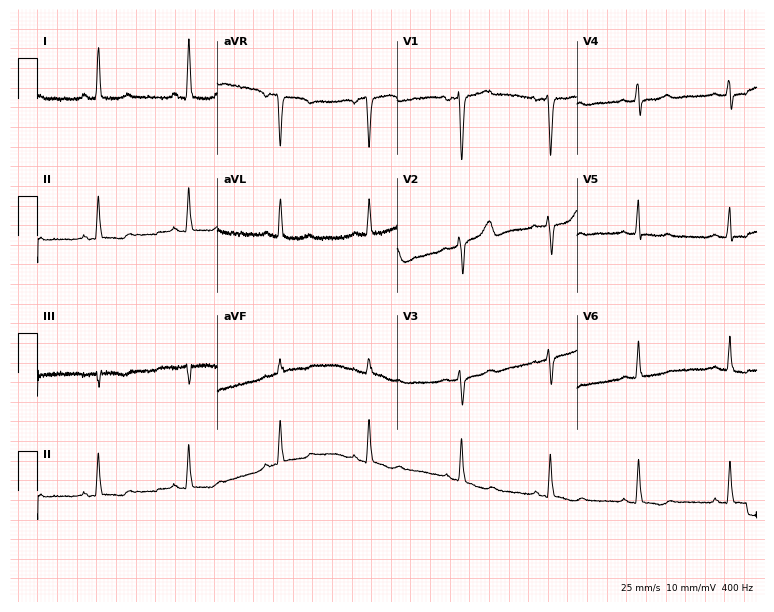
Electrocardiogram, a 49-year-old female. Of the six screened findings (first-degree AV block, right bundle branch block (RBBB), left bundle branch block (LBBB), sinus bradycardia, atrial fibrillation (AF), sinus tachycardia), none is recorded. Findings outside these six are not listed.